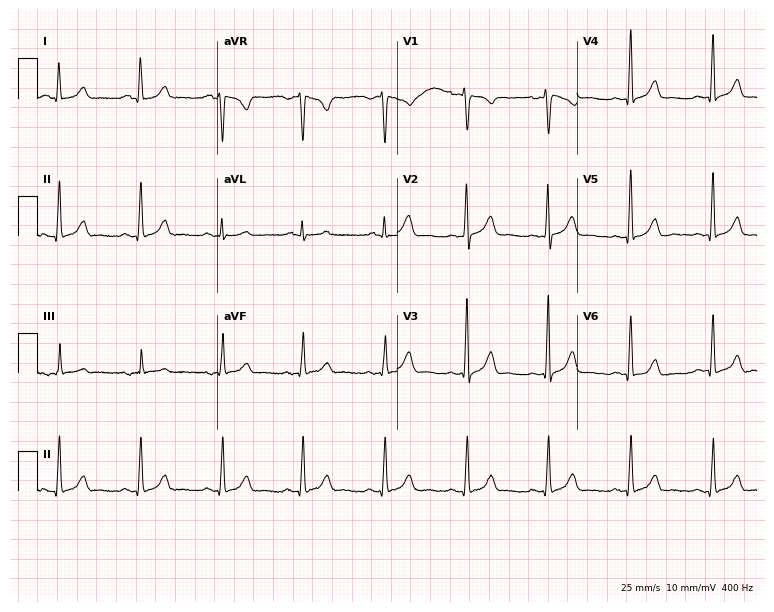
Standard 12-lead ECG recorded from a female, 45 years old. None of these six findings is recorded: first-degree AV block, right bundle branch block (RBBB), left bundle branch block (LBBB), sinus bradycardia, atrial fibrillation (AF), sinus tachycardia. Other findings, if any, are not listed.